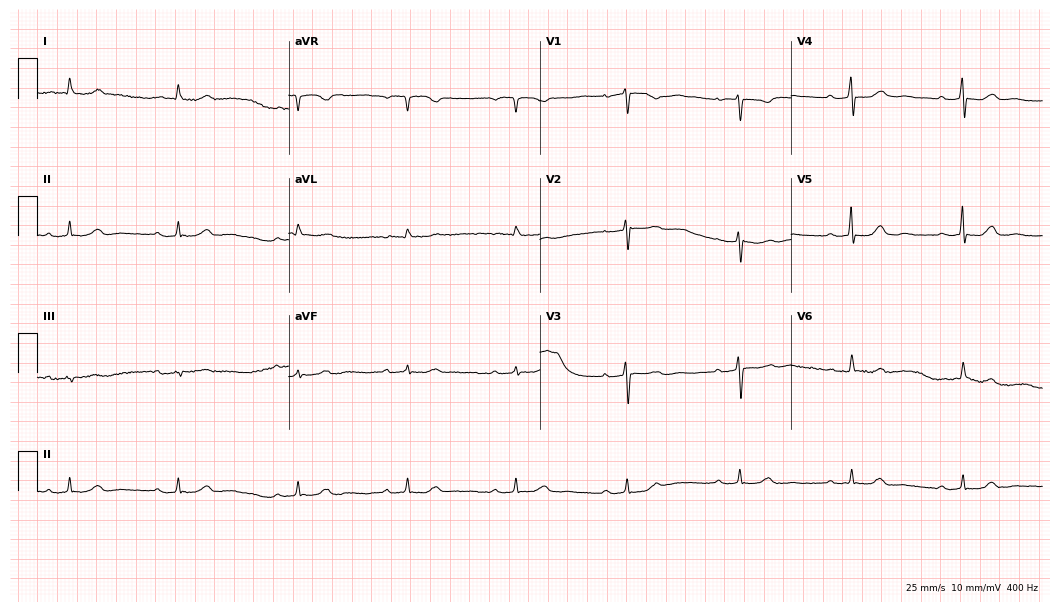
Electrocardiogram (10.2-second recording at 400 Hz), an 82-year-old female. Interpretation includes first-degree AV block.